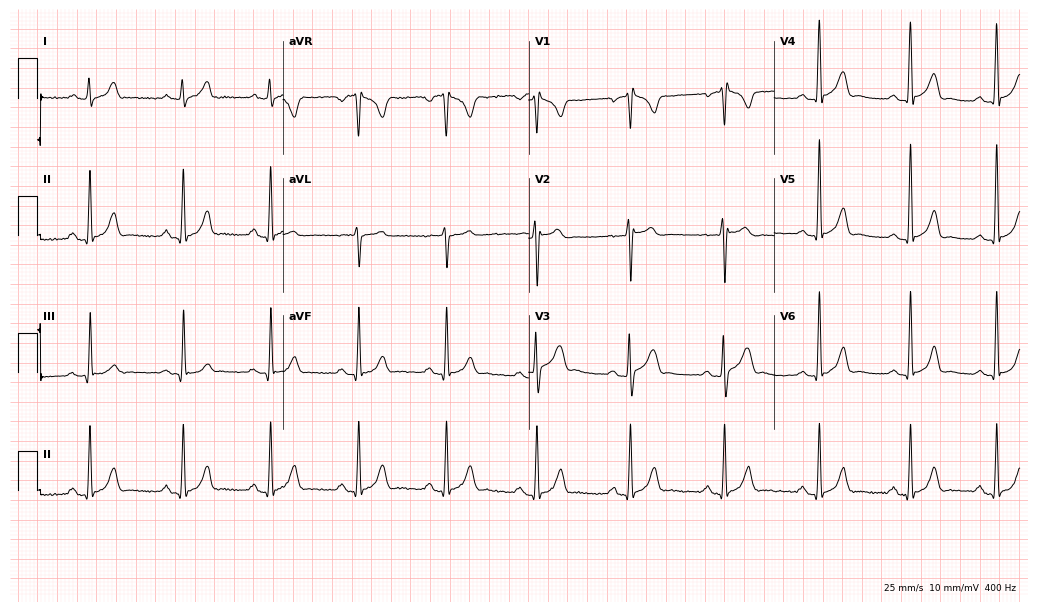
12-lead ECG from a male, 23 years old. Screened for six findings — first-degree AV block, right bundle branch block, left bundle branch block, sinus bradycardia, atrial fibrillation, sinus tachycardia — none is recorded. Only these six findings were labelled.